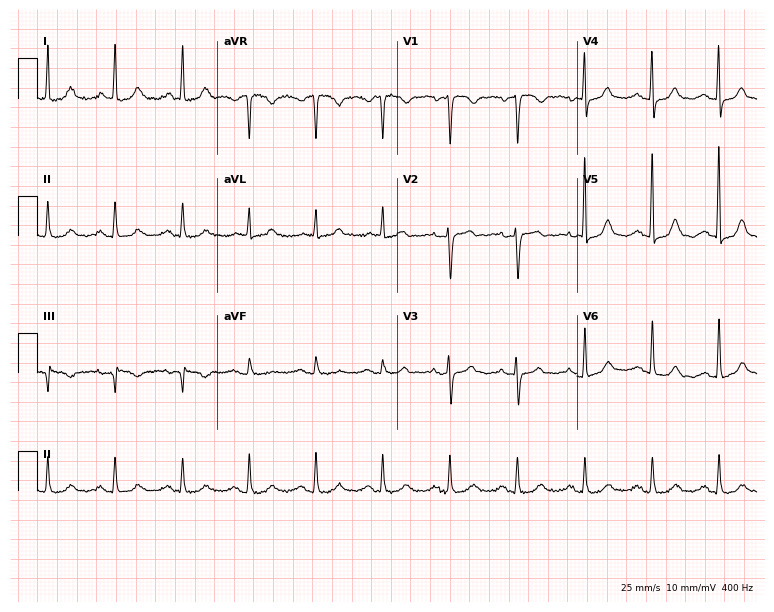
12-lead ECG (7.3-second recording at 400 Hz) from a woman, 65 years old. Labelled as a normal ECG.